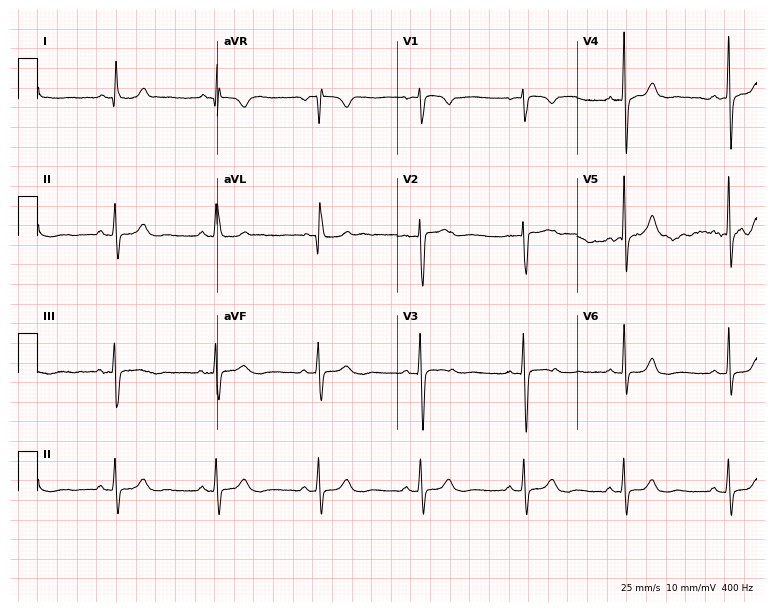
Resting 12-lead electrocardiogram (7.3-second recording at 400 Hz). Patient: a female, 47 years old. Read as a normal ECG.